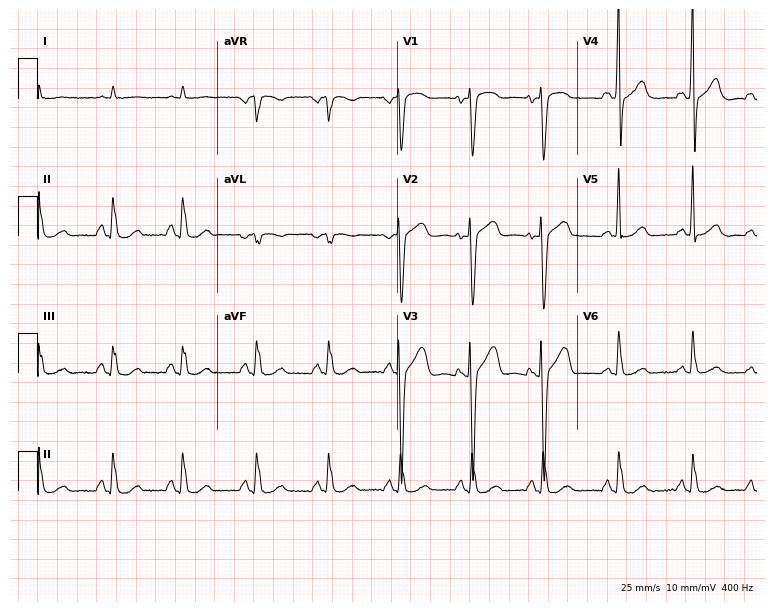
Electrocardiogram, a male, 48 years old. Of the six screened findings (first-degree AV block, right bundle branch block, left bundle branch block, sinus bradycardia, atrial fibrillation, sinus tachycardia), none is recorded. Only these six findings were labelled.